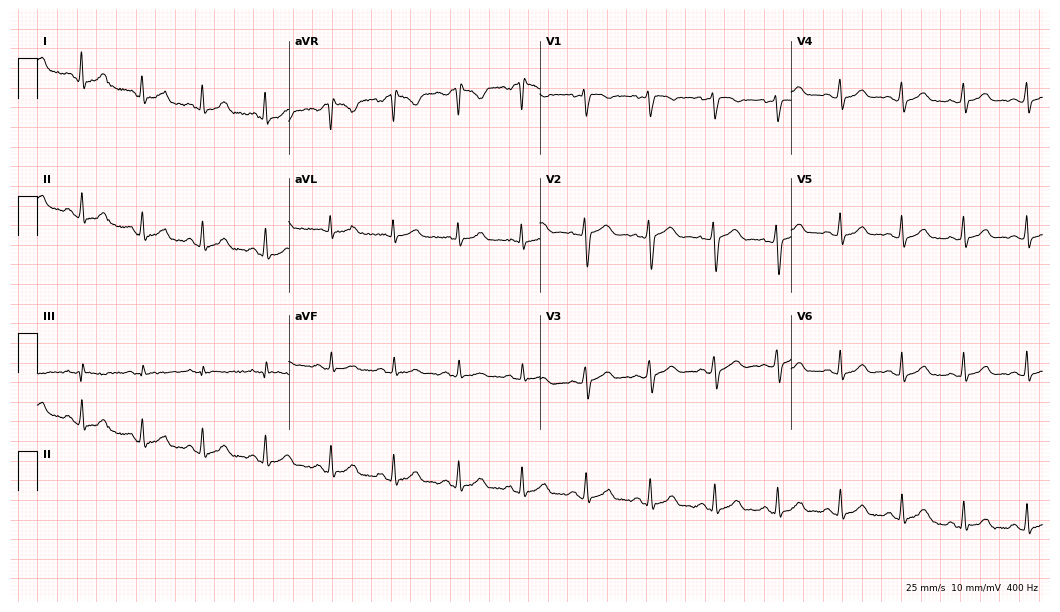
Resting 12-lead electrocardiogram (10.2-second recording at 400 Hz). Patient: a 21-year-old female. Read as a normal ECG.